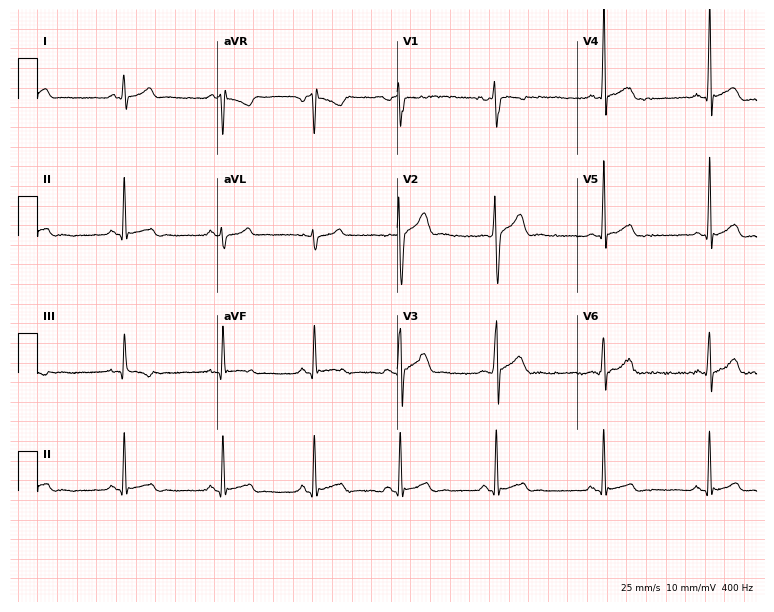
12-lead ECG (7.3-second recording at 400 Hz) from a 21-year-old male patient. Labelled as a normal ECG.